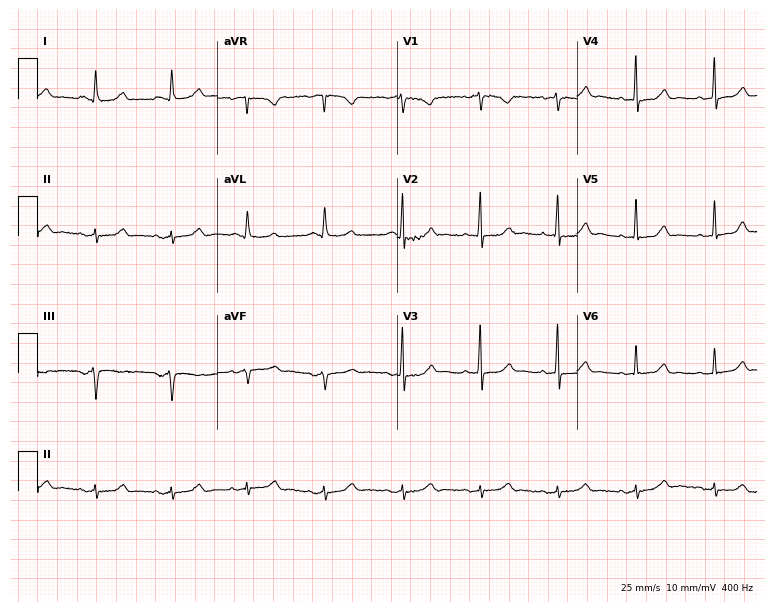
ECG (7.3-second recording at 400 Hz) — a woman, 58 years old. Labelled as a normal ECG.